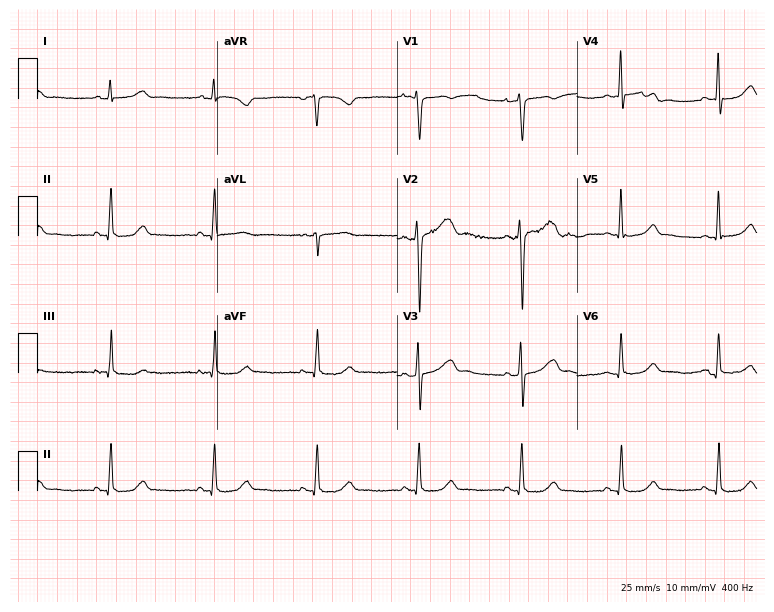
ECG — a woman, 47 years old. Screened for six findings — first-degree AV block, right bundle branch block, left bundle branch block, sinus bradycardia, atrial fibrillation, sinus tachycardia — none is recorded. Other findings, if any, are not listed.